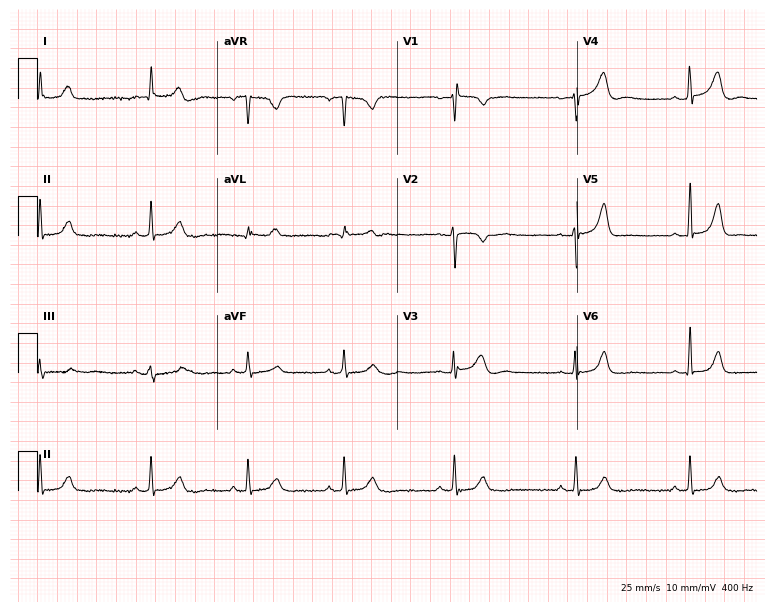
12-lead ECG from a woman, 31 years old. Recorded interpretation: within normal limits.